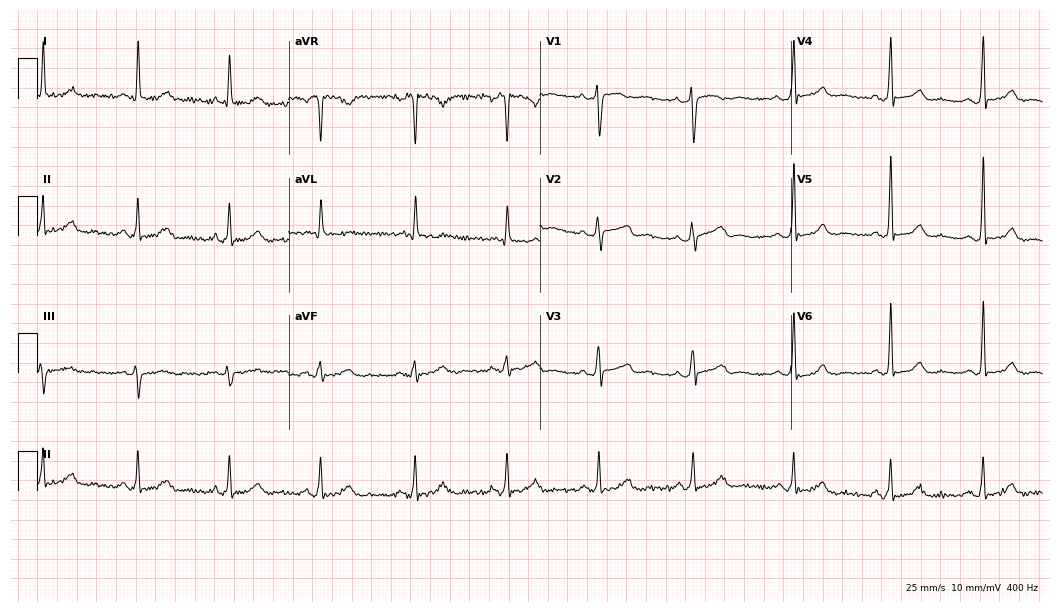
Resting 12-lead electrocardiogram. Patient: a 54-year-old female. Read as a normal ECG.